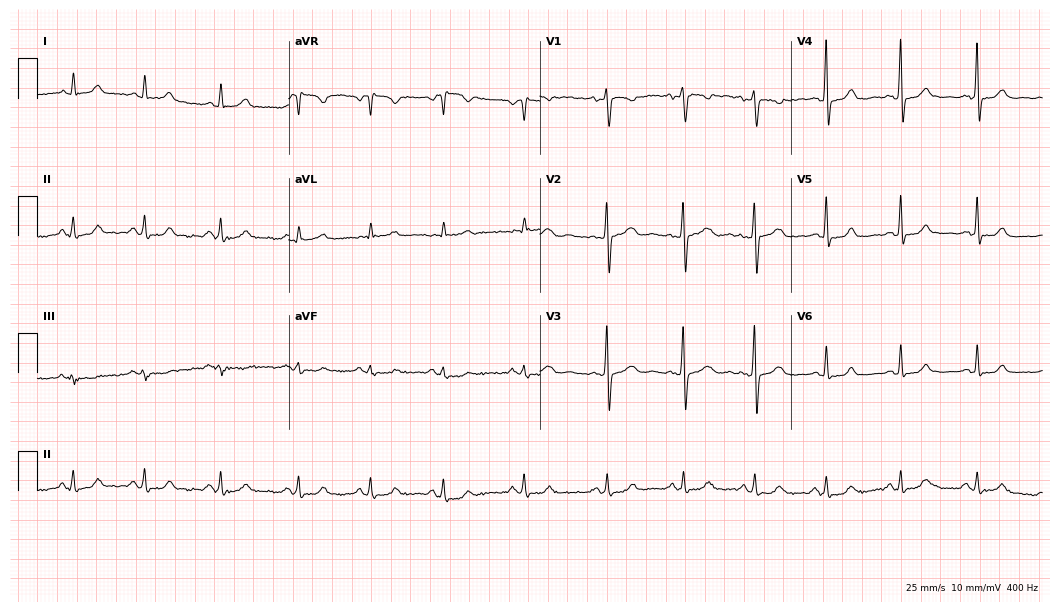
Standard 12-lead ECG recorded from a 43-year-old female (10.2-second recording at 400 Hz). Read as a normal ECG.